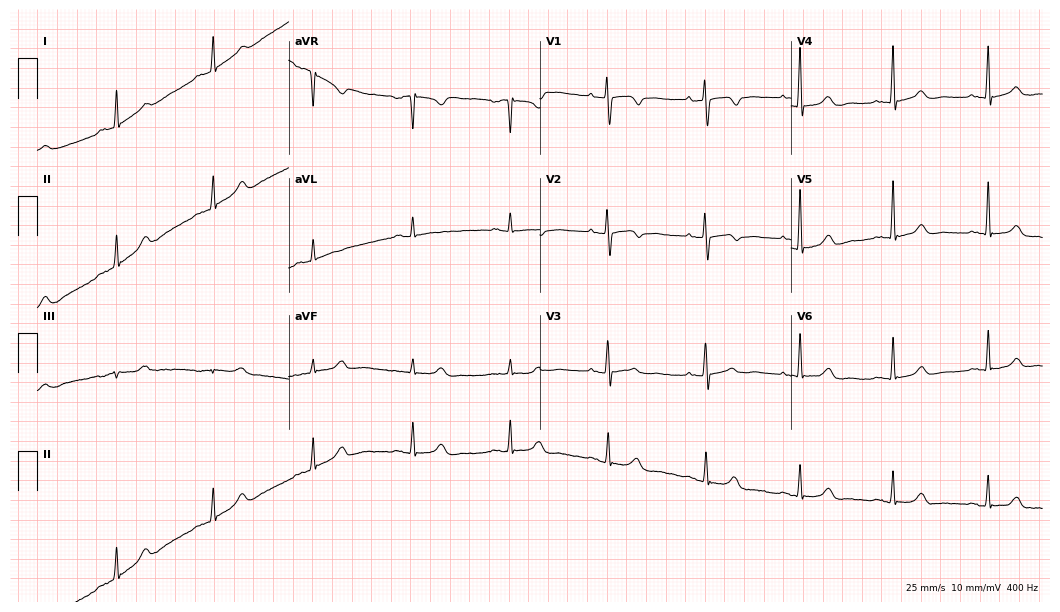
Electrocardiogram, a 67-year-old female patient. Overall reading on record: normal ECG.